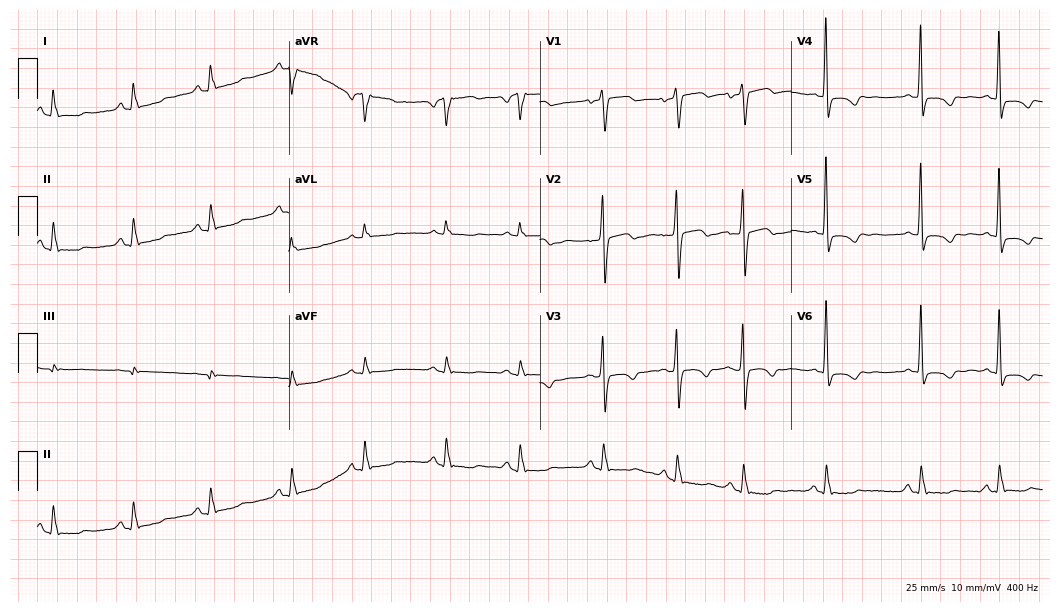
Standard 12-lead ECG recorded from a 68-year-old female patient (10.2-second recording at 400 Hz). None of these six findings is recorded: first-degree AV block, right bundle branch block, left bundle branch block, sinus bradycardia, atrial fibrillation, sinus tachycardia.